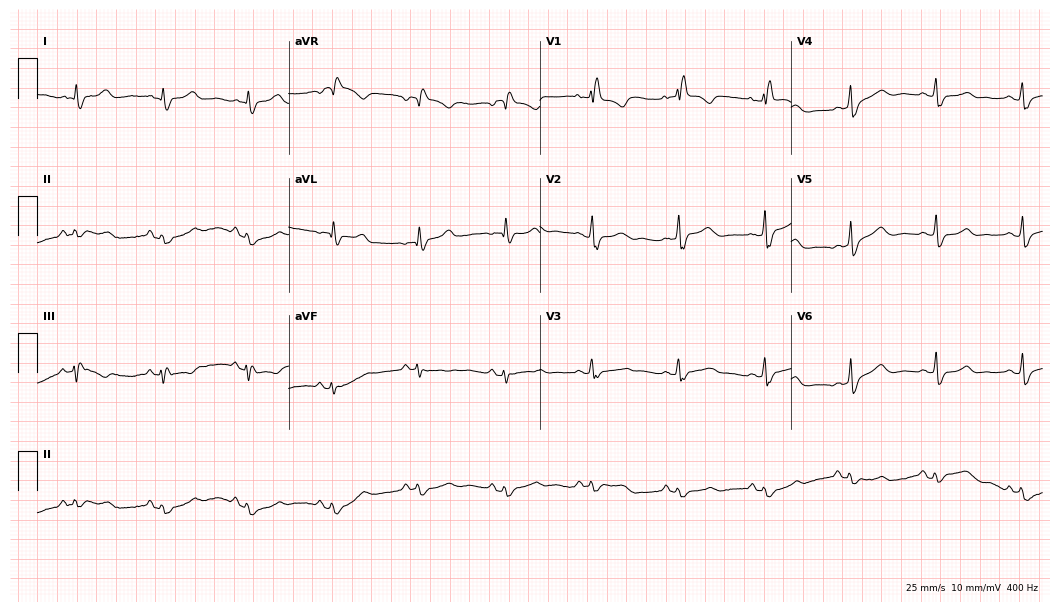
Electrocardiogram, a 61-year-old female patient. Interpretation includes right bundle branch block (RBBB).